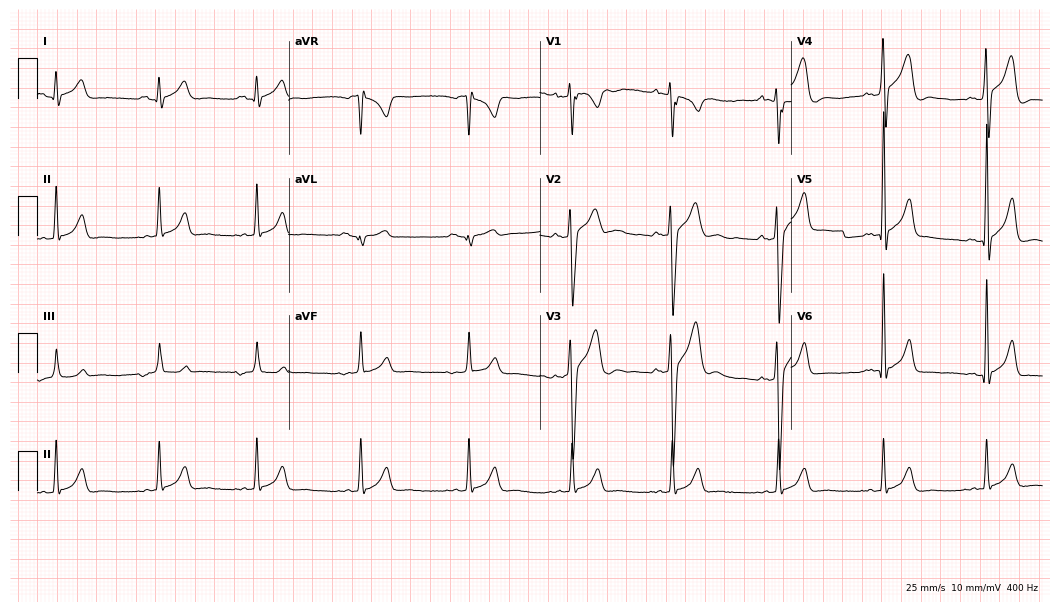
ECG (10.2-second recording at 400 Hz) — a man, 28 years old. Labelled as a normal ECG.